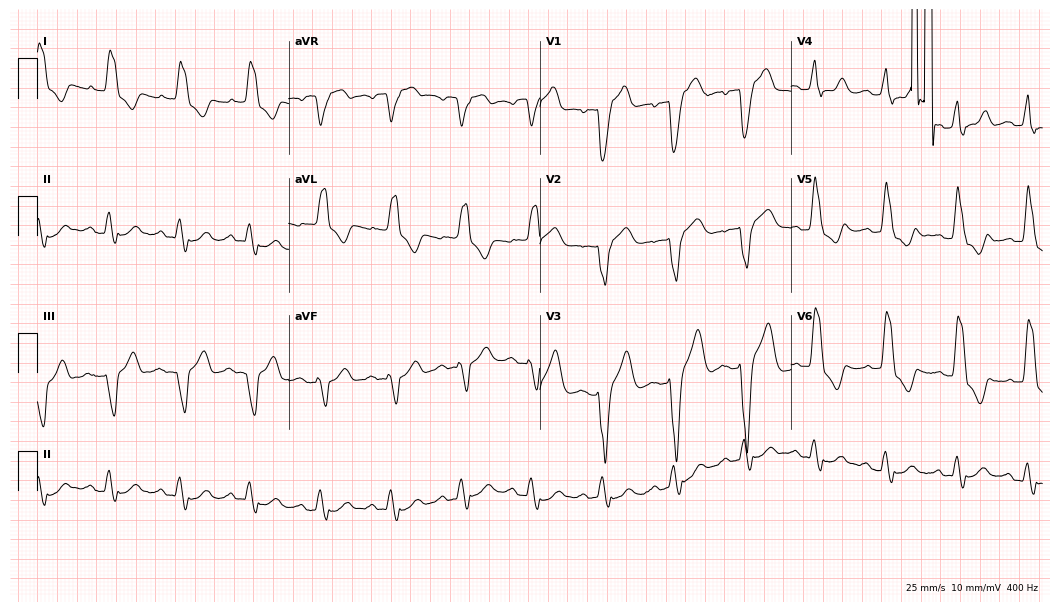
ECG — a man, 80 years old. Findings include left bundle branch block.